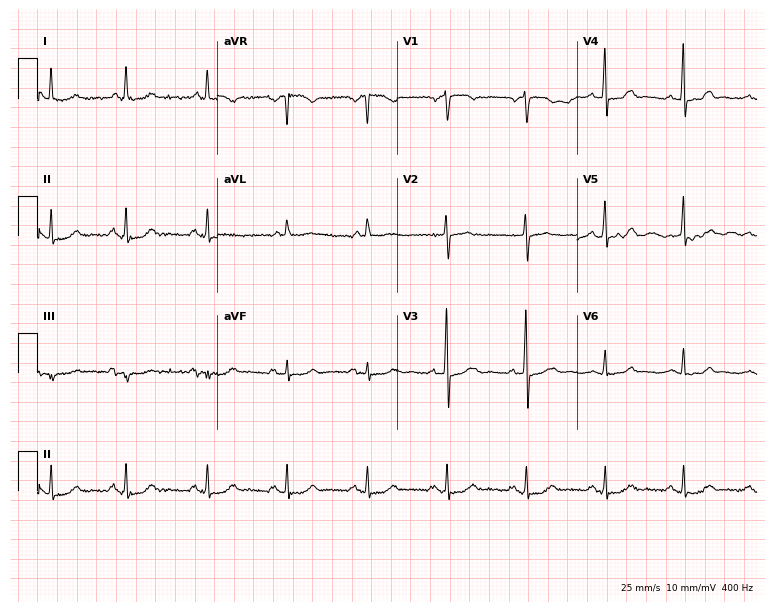
12-lead ECG from a woman, 79 years old. No first-degree AV block, right bundle branch block (RBBB), left bundle branch block (LBBB), sinus bradycardia, atrial fibrillation (AF) or sinus tachycardia recorded for this tracing.